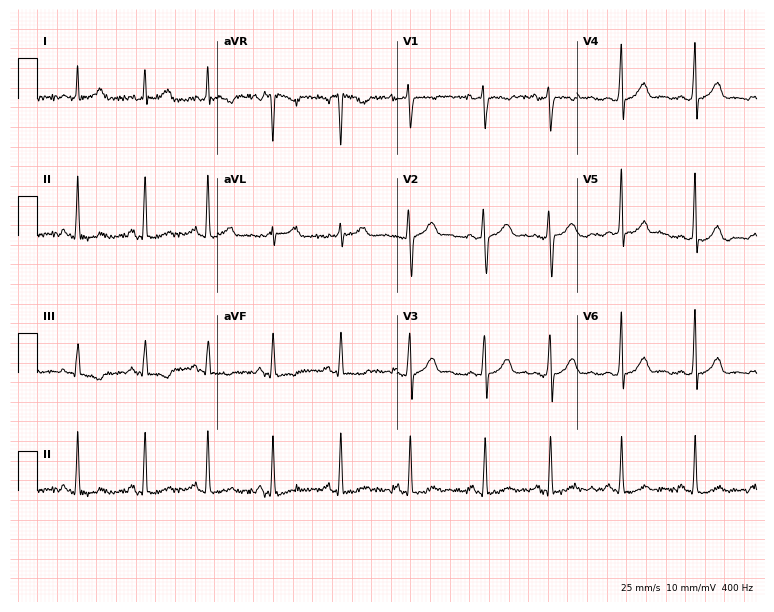
Electrocardiogram (7.3-second recording at 400 Hz), a woman, 28 years old. Of the six screened findings (first-degree AV block, right bundle branch block, left bundle branch block, sinus bradycardia, atrial fibrillation, sinus tachycardia), none is recorded. Findings outside these six are not listed.